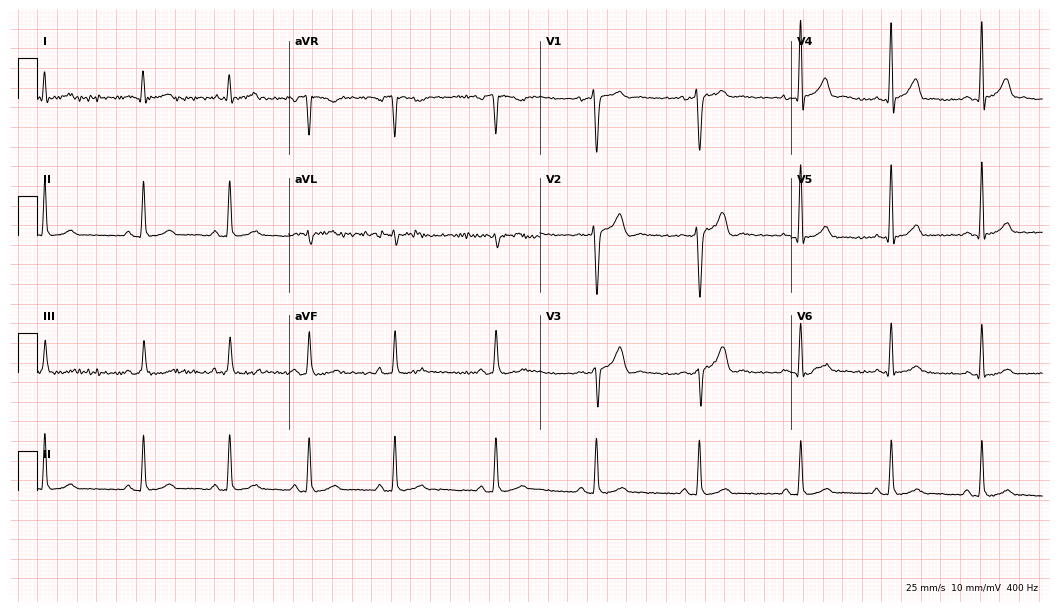
12-lead ECG from a male patient, 19 years old. Recorded interpretation: within normal limits.